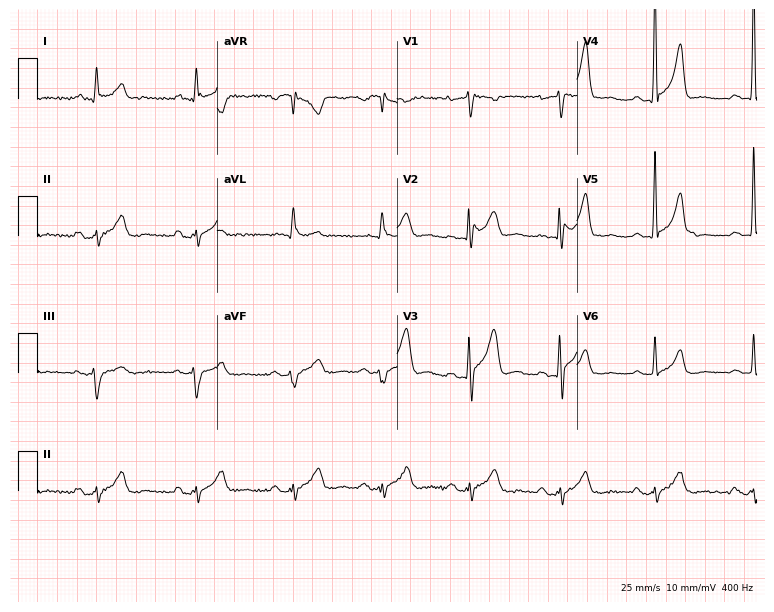
Electrocardiogram, a man, 50 years old. Of the six screened findings (first-degree AV block, right bundle branch block (RBBB), left bundle branch block (LBBB), sinus bradycardia, atrial fibrillation (AF), sinus tachycardia), none is recorded.